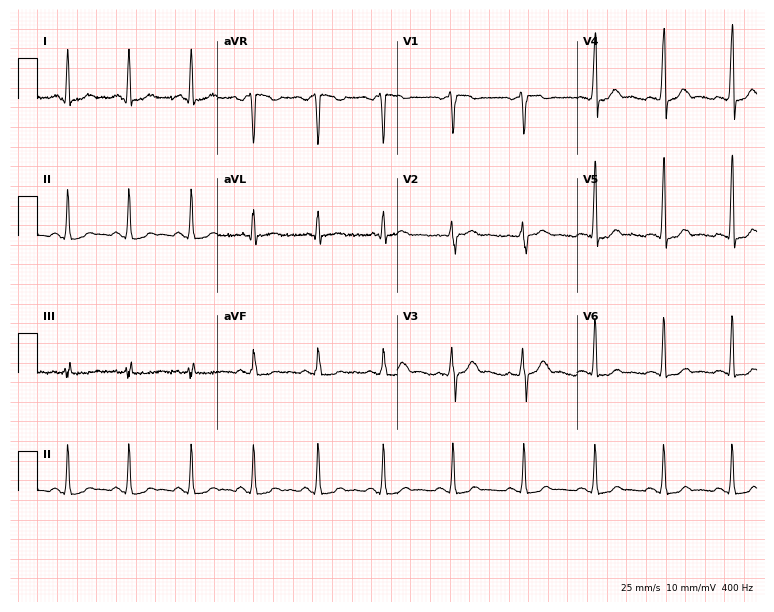
Electrocardiogram (7.3-second recording at 400 Hz), a man, 44 years old. Overall reading on record: normal ECG.